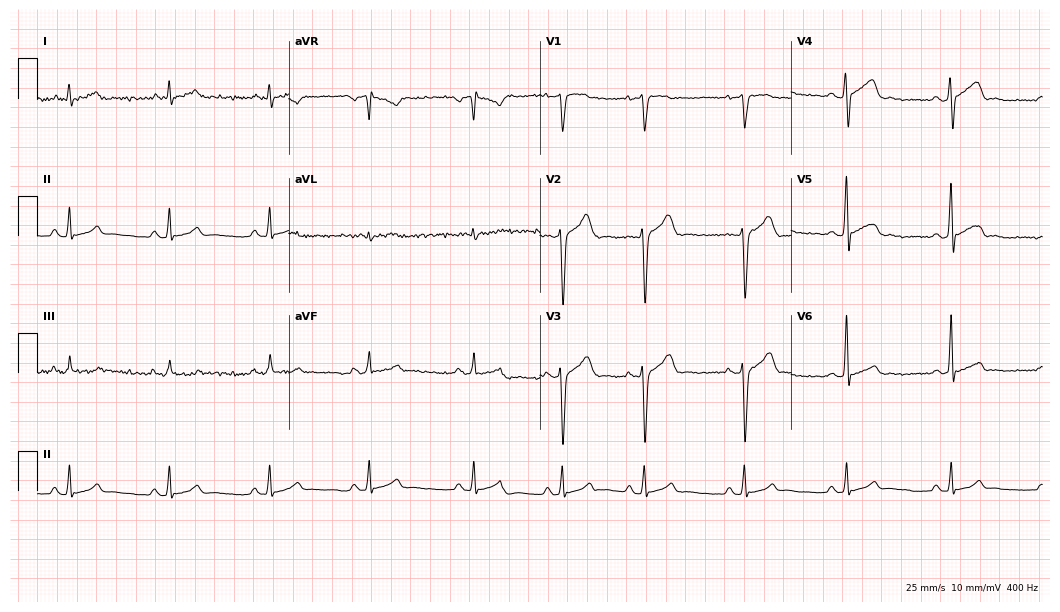
12-lead ECG from a 27-year-old male (10.2-second recording at 400 Hz). Recorded interpretation: within normal limits.